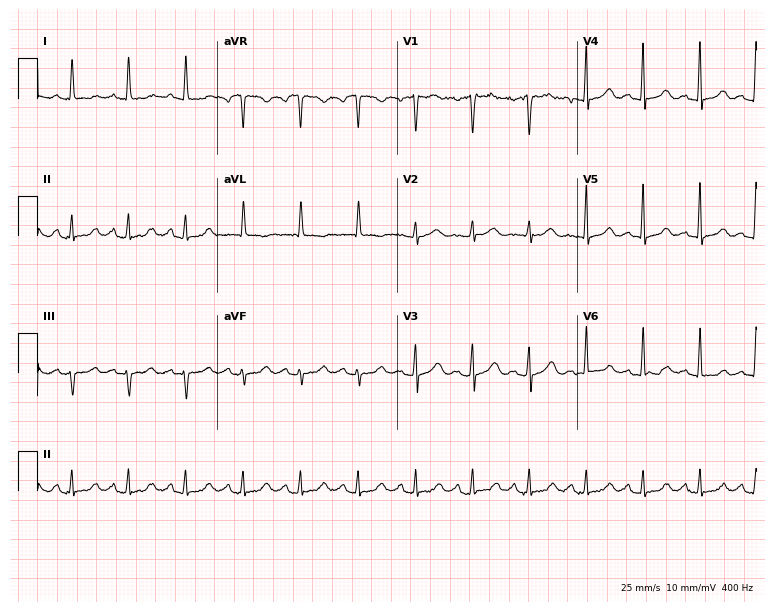
12-lead ECG from a 53-year-old female (7.3-second recording at 400 Hz). Shows sinus tachycardia (a sinus rate of 100 beats per minute or more).